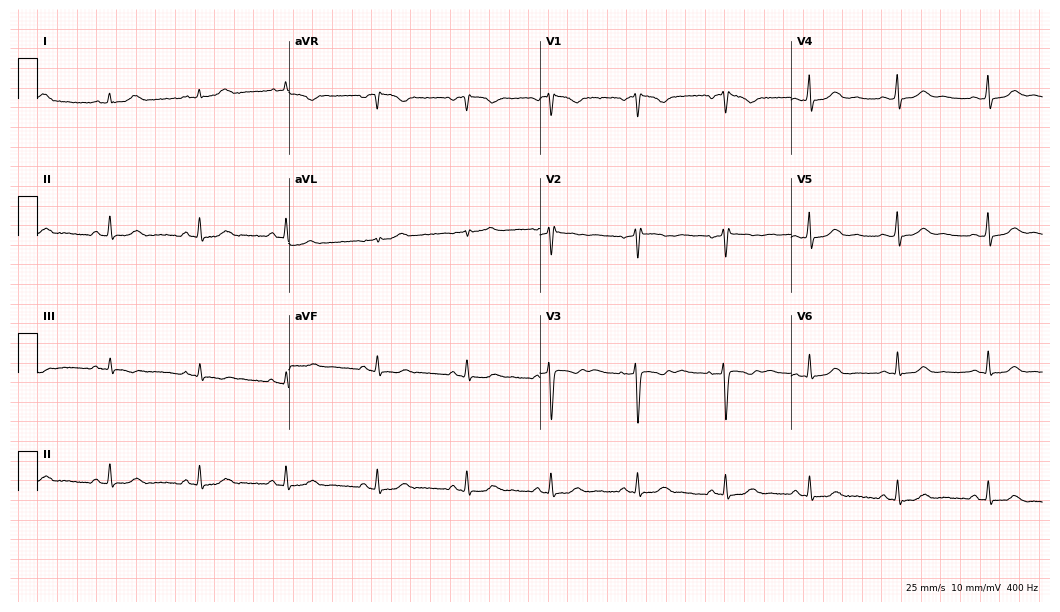
Electrocardiogram, a female, 40 years old. Of the six screened findings (first-degree AV block, right bundle branch block, left bundle branch block, sinus bradycardia, atrial fibrillation, sinus tachycardia), none is recorded. Other findings, if any, are not listed.